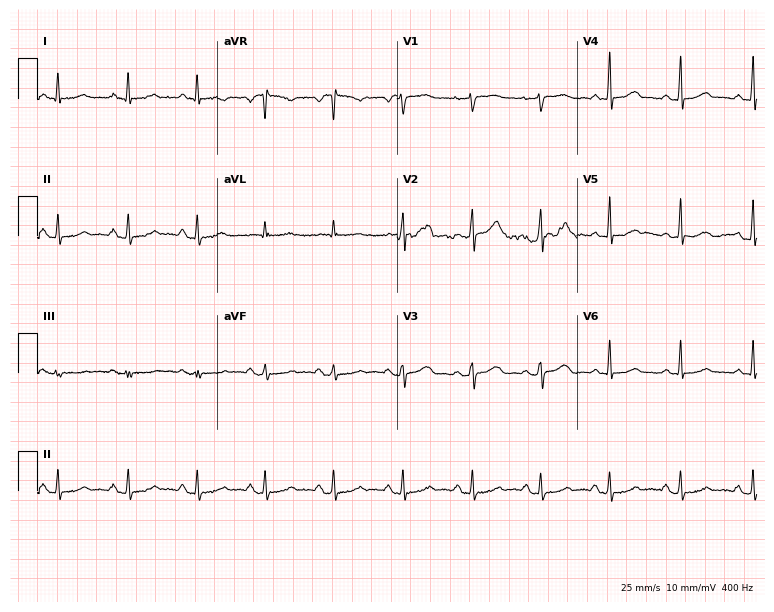
12-lead ECG from a 57-year-old female patient (7.3-second recording at 400 Hz). Recorded interpretation: within normal limits.